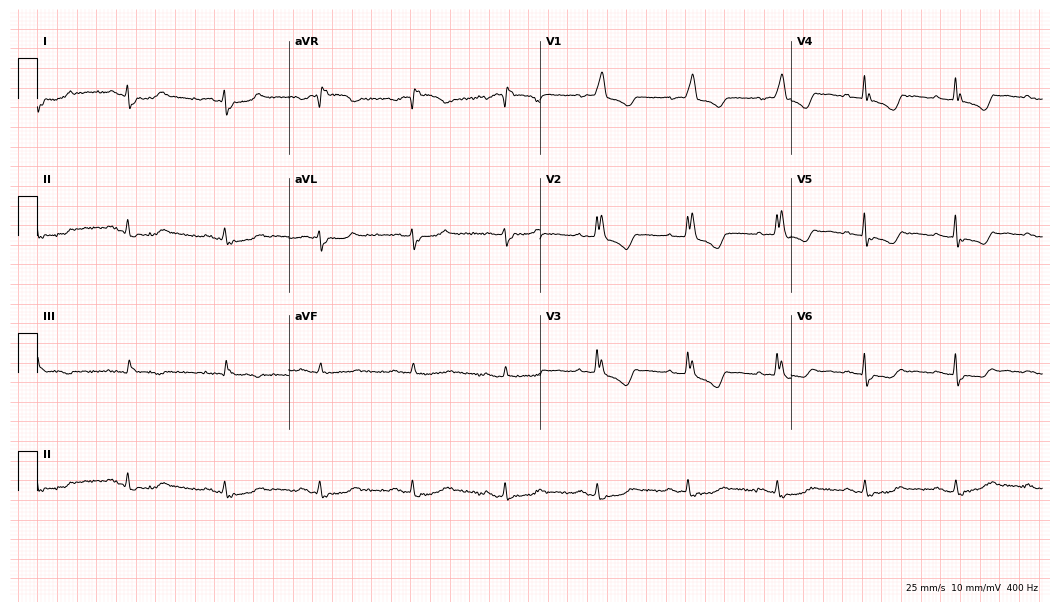
Electrocardiogram (10.2-second recording at 400 Hz), a woman, 80 years old. Interpretation includes right bundle branch block.